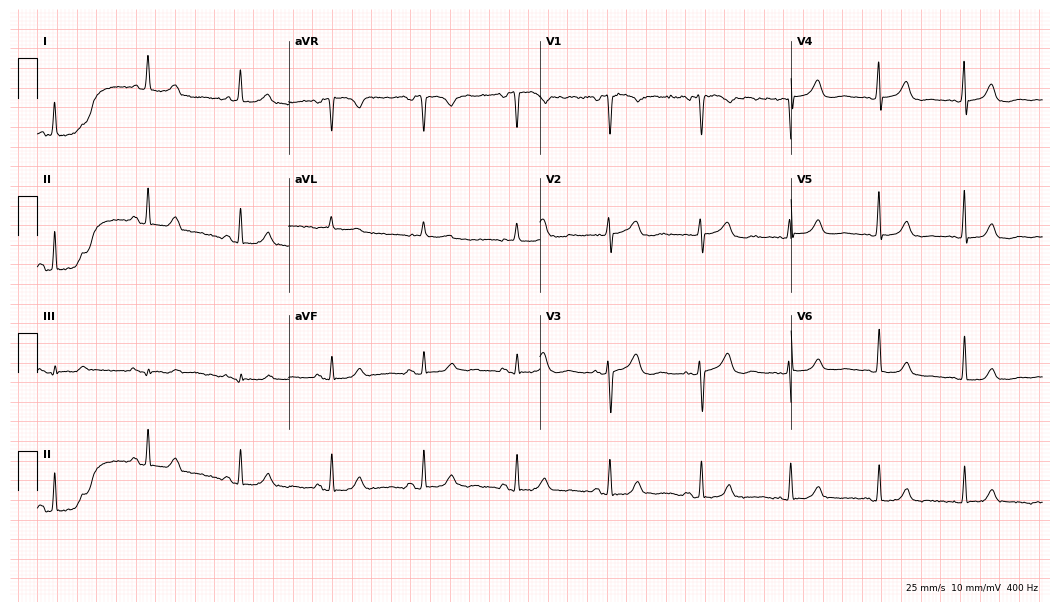
Electrocardiogram (10.2-second recording at 400 Hz), a 74-year-old woman. Overall reading on record: normal ECG.